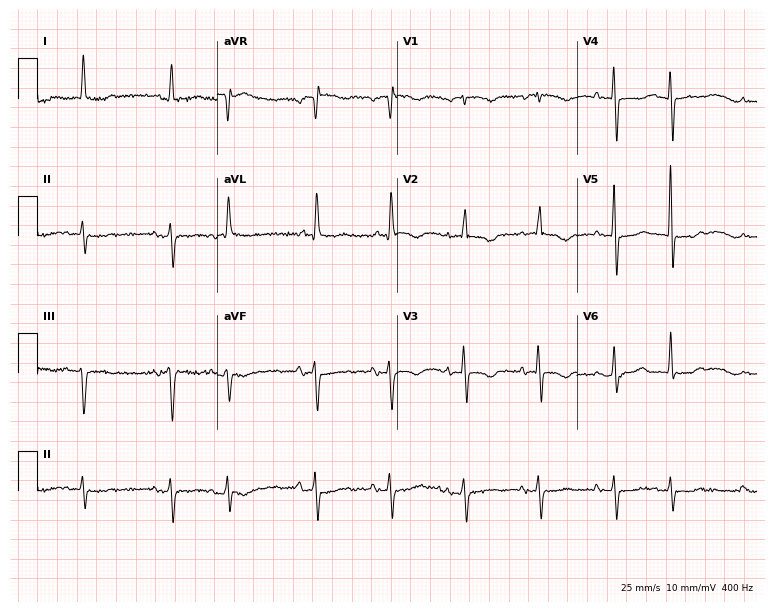
12-lead ECG from a female, 82 years old. Screened for six findings — first-degree AV block, right bundle branch block, left bundle branch block, sinus bradycardia, atrial fibrillation, sinus tachycardia — none is recorded.